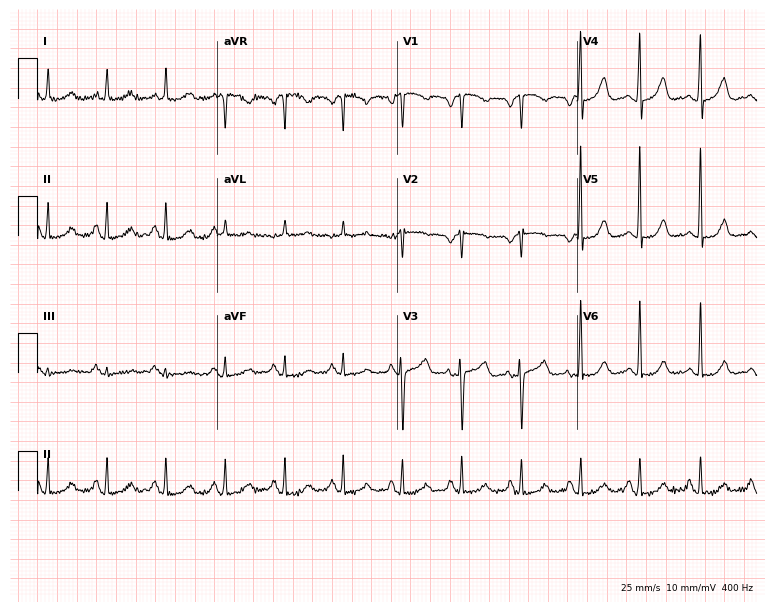
Resting 12-lead electrocardiogram (7.3-second recording at 400 Hz). Patient: a female, 46 years old. Read as a normal ECG.